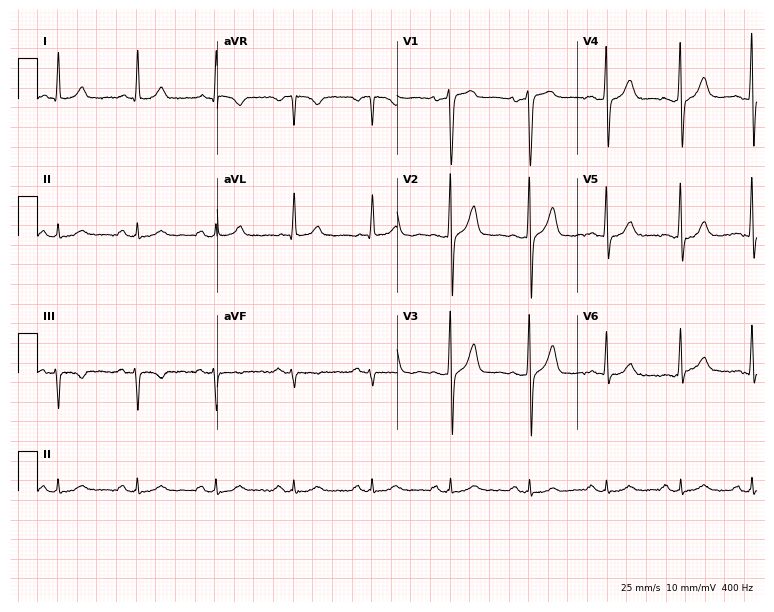
Standard 12-lead ECG recorded from a man, 66 years old (7.3-second recording at 400 Hz). None of these six findings is recorded: first-degree AV block, right bundle branch block (RBBB), left bundle branch block (LBBB), sinus bradycardia, atrial fibrillation (AF), sinus tachycardia. Only these six findings were labelled.